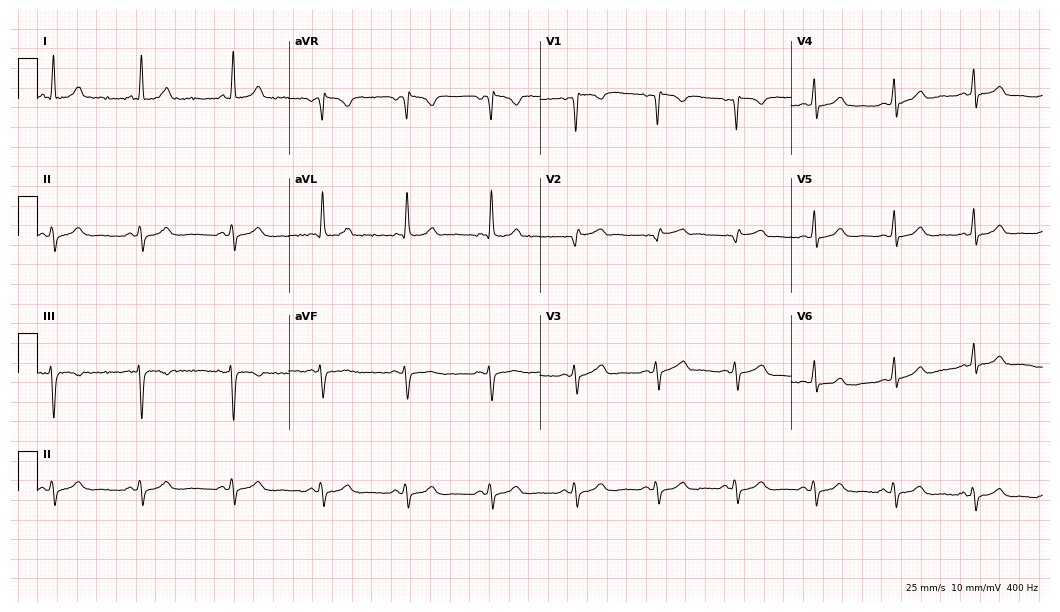
ECG — a 42-year-old female patient. Screened for six findings — first-degree AV block, right bundle branch block, left bundle branch block, sinus bradycardia, atrial fibrillation, sinus tachycardia — none is recorded.